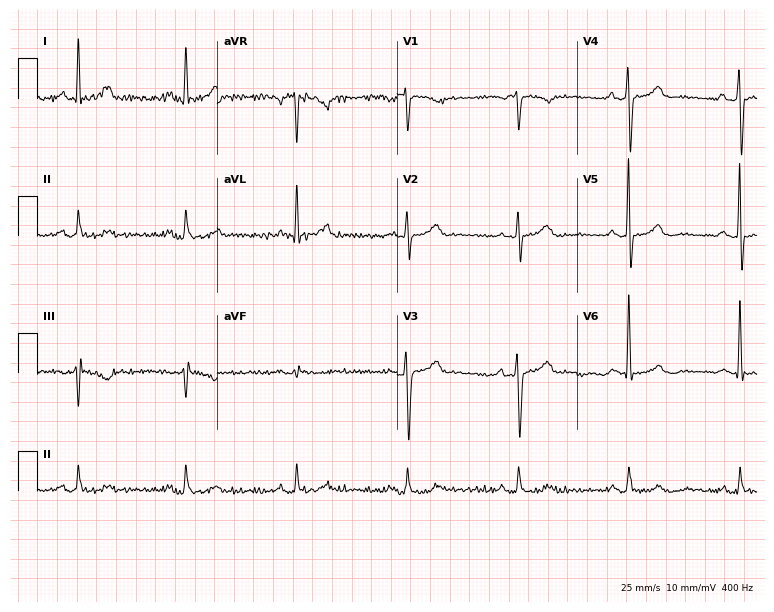
12-lead ECG from a 43-year-old male. Recorded interpretation: within normal limits.